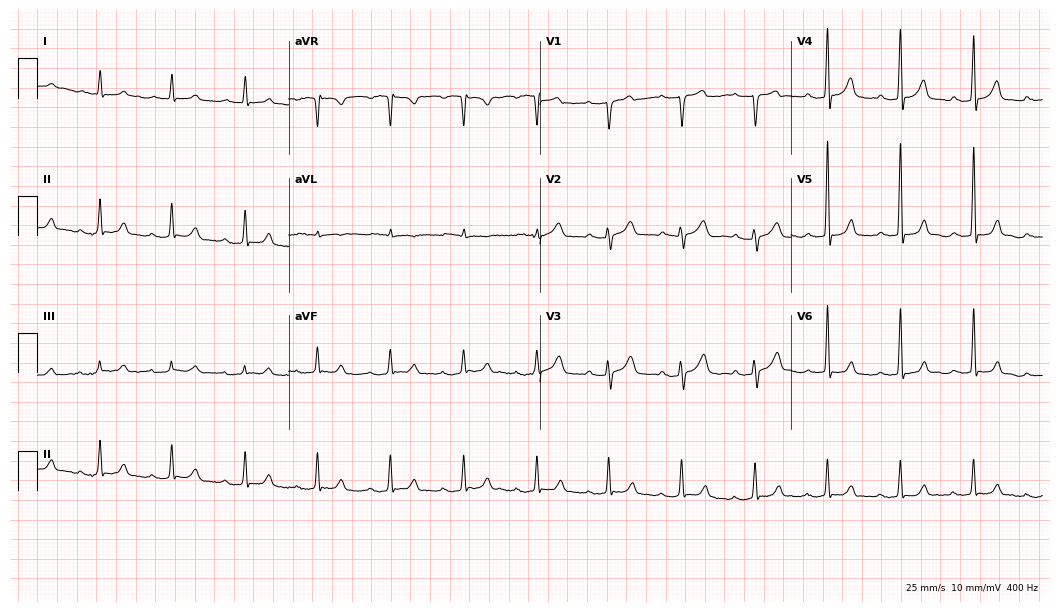
12-lead ECG from a female, 70 years old (10.2-second recording at 400 Hz). Recorded interpretation: within normal limits.